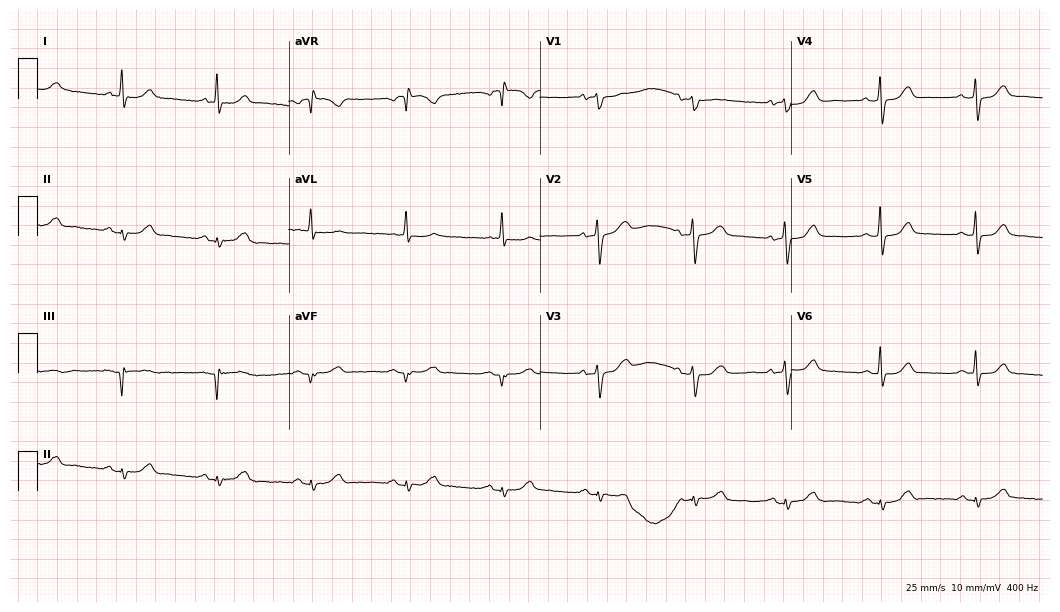
12-lead ECG (10.2-second recording at 400 Hz) from a 61-year-old woman. Labelled as a normal ECG.